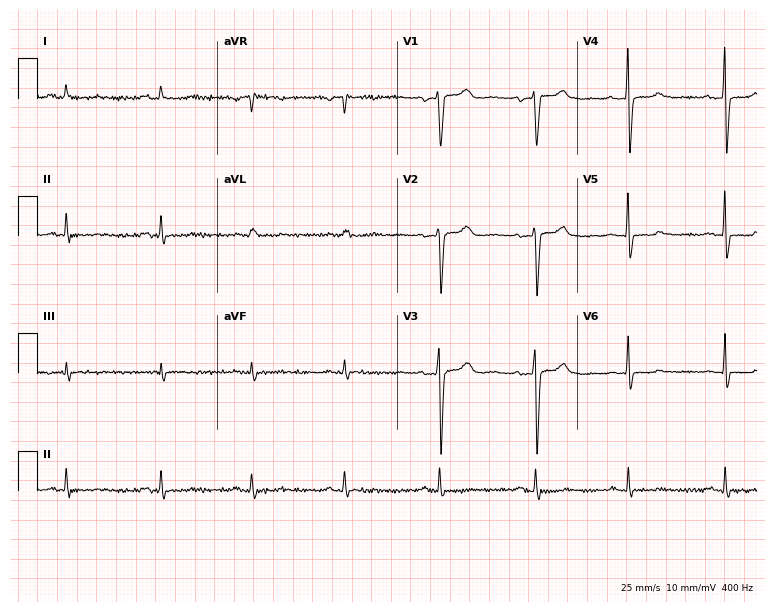
Resting 12-lead electrocardiogram (7.3-second recording at 400 Hz). Patient: a 62-year-old man. Read as a normal ECG.